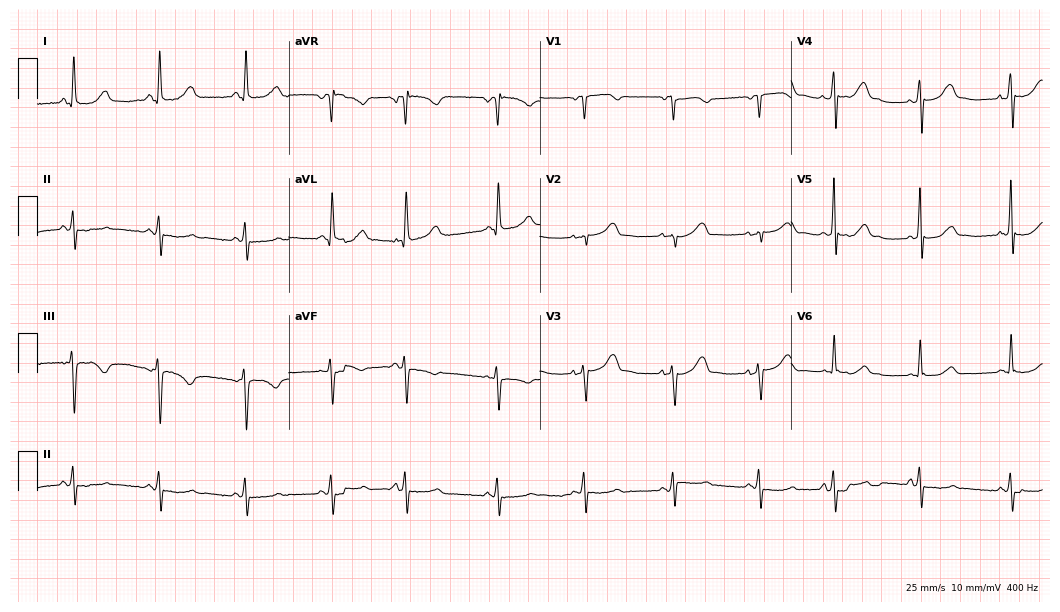
Standard 12-lead ECG recorded from a female patient, 52 years old. None of these six findings is recorded: first-degree AV block, right bundle branch block (RBBB), left bundle branch block (LBBB), sinus bradycardia, atrial fibrillation (AF), sinus tachycardia. Other findings, if any, are not listed.